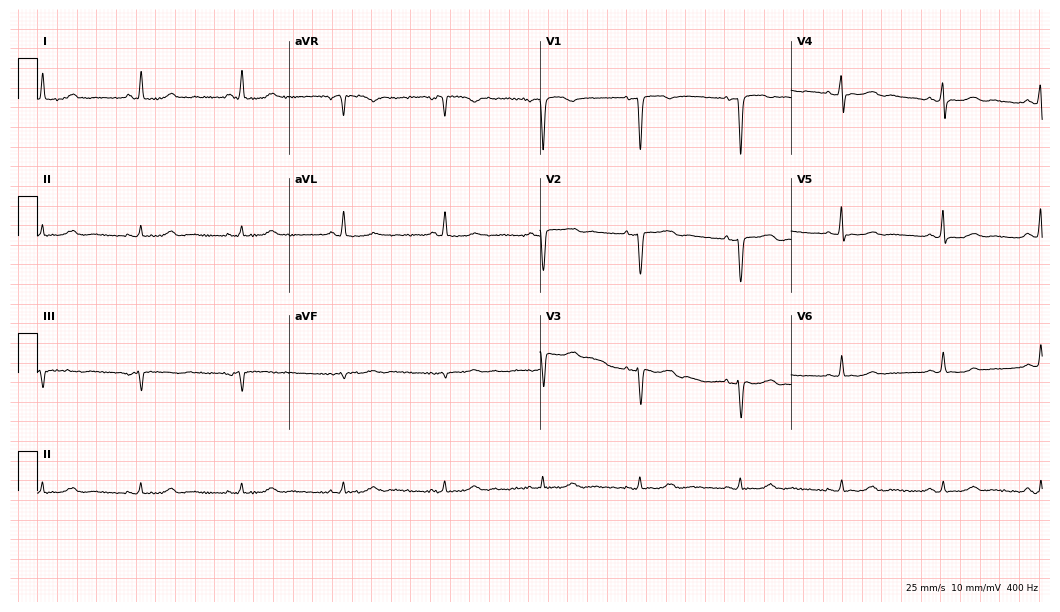
Standard 12-lead ECG recorded from a female, 50 years old (10.2-second recording at 400 Hz). None of these six findings is recorded: first-degree AV block, right bundle branch block (RBBB), left bundle branch block (LBBB), sinus bradycardia, atrial fibrillation (AF), sinus tachycardia. Other findings, if any, are not listed.